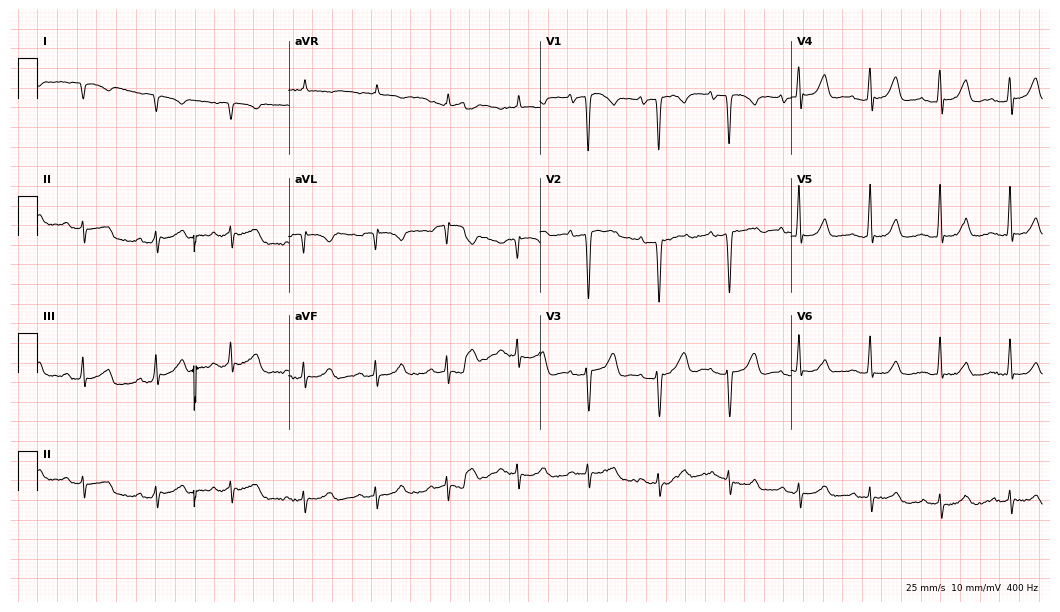
ECG (10.2-second recording at 400 Hz) — a 64-year-old male patient. Screened for six findings — first-degree AV block, right bundle branch block, left bundle branch block, sinus bradycardia, atrial fibrillation, sinus tachycardia — none is recorded.